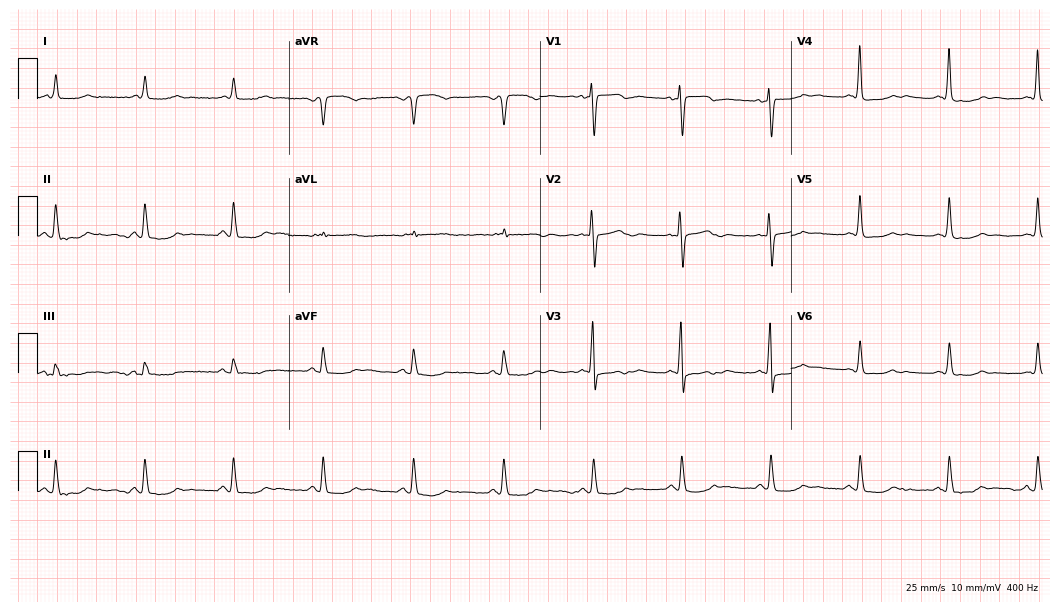
12-lead ECG from an 85-year-old woman. No first-degree AV block, right bundle branch block (RBBB), left bundle branch block (LBBB), sinus bradycardia, atrial fibrillation (AF) or sinus tachycardia recorded for this tracing. Only these six findings were labelled.